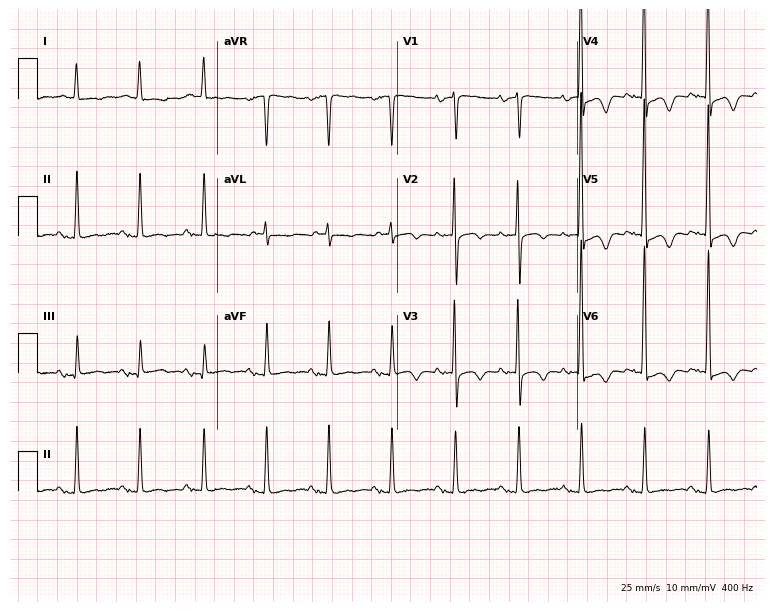
12-lead ECG (7.3-second recording at 400 Hz) from a woman, 80 years old. Labelled as a normal ECG.